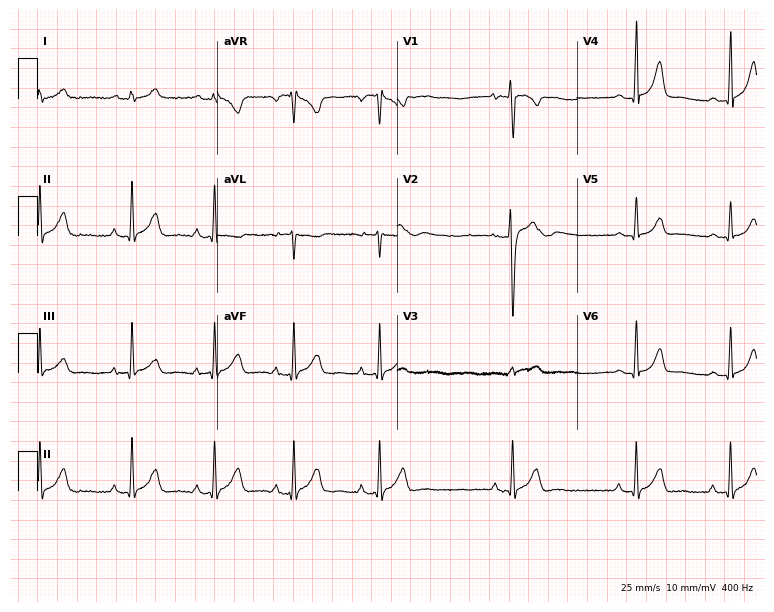
Electrocardiogram, a 22-year-old male. Overall reading on record: normal ECG.